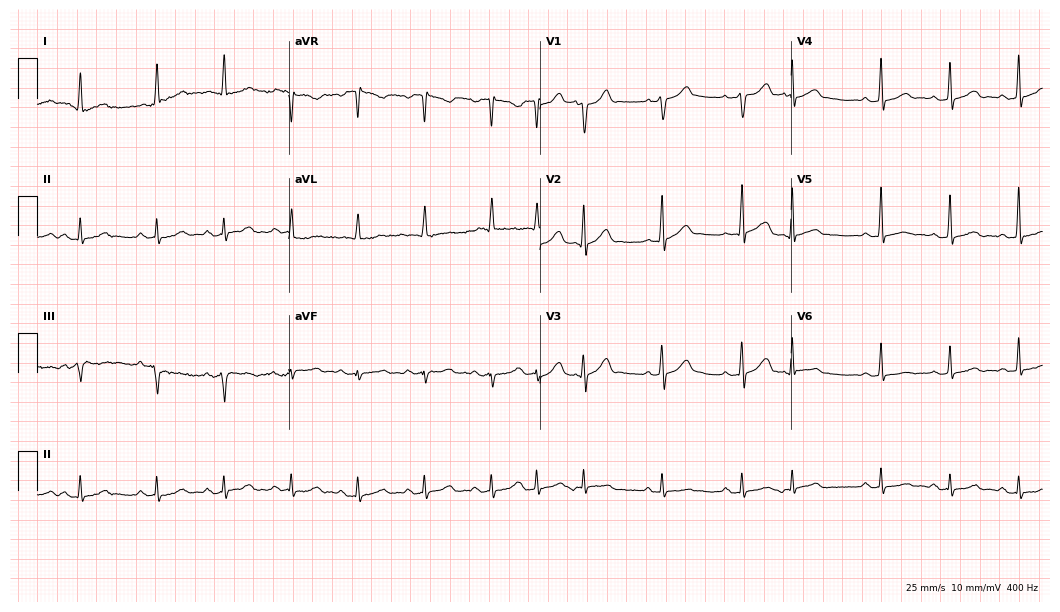
Resting 12-lead electrocardiogram. Patient: a 75-year-old man. None of these six findings is recorded: first-degree AV block, right bundle branch block (RBBB), left bundle branch block (LBBB), sinus bradycardia, atrial fibrillation (AF), sinus tachycardia.